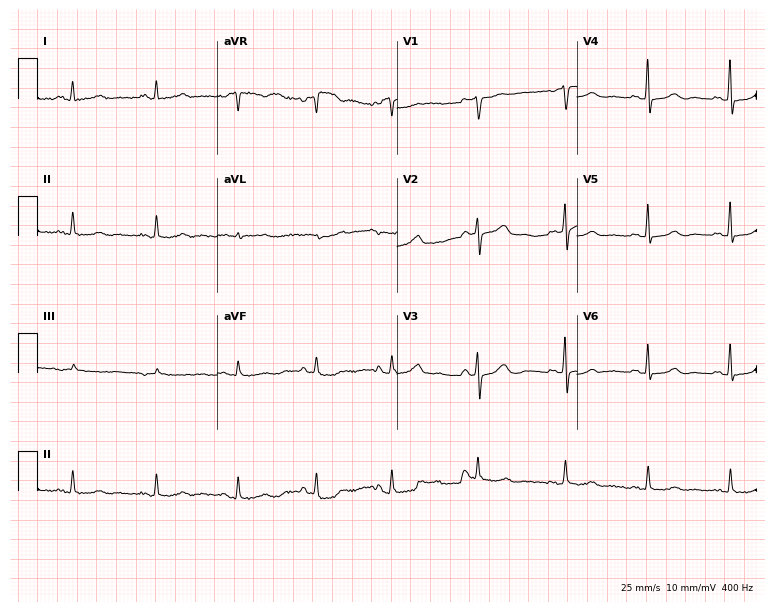
12-lead ECG from a 46-year-old woman. No first-degree AV block, right bundle branch block (RBBB), left bundle branch block (LBBB), sinus bradycardia, atrial fibrillation (AF) or sinus tachycardia recorded for this tracing.